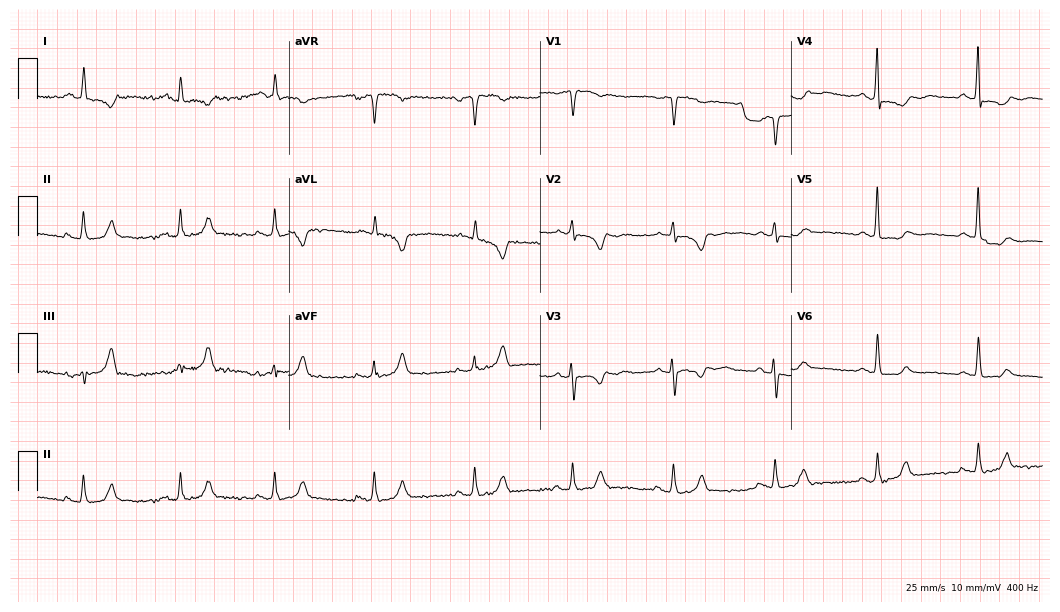
12-lead ECG from a female patient, 54 years old (10.2-second recording at 400 Hz). No first-degree AV block, right bundle branch block, left bundle branch block, sinus bradycardia, atrial fibrillation or sinus tachycardia recorded for this tracing.